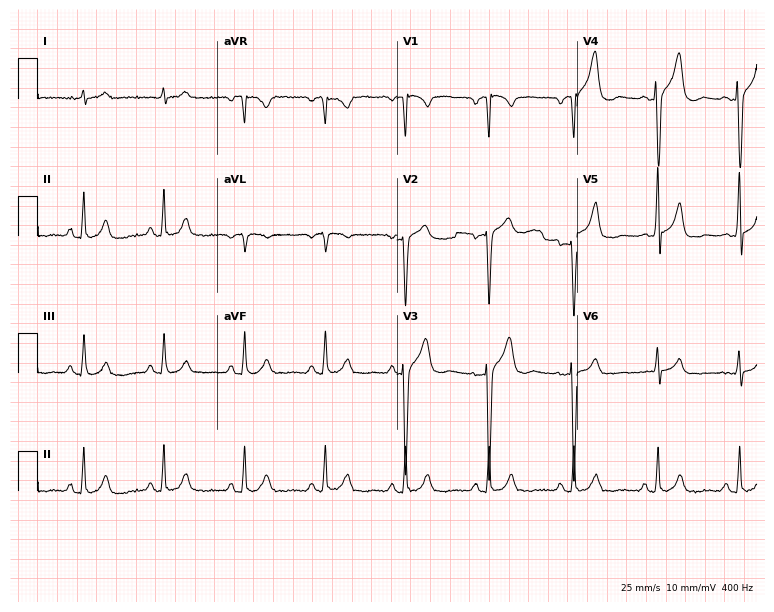
12-lead ECG from a male patient, 60 years old. Screened for six findings — first-degree AV block, right bundle branch block, left bundle branch block, sinus bradycardia, atrial fibrillation, sinus tachycardia — none is recorded. Findings outside these six are not listed.